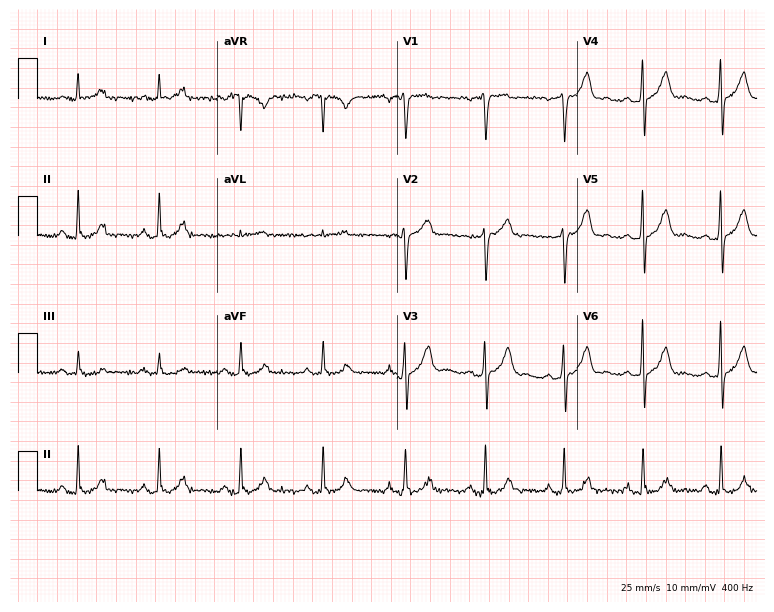
12-lead ECG (7.3-second recording at 400 Hz) from a male patient, 49 years old. Labelled as a normal ECG.